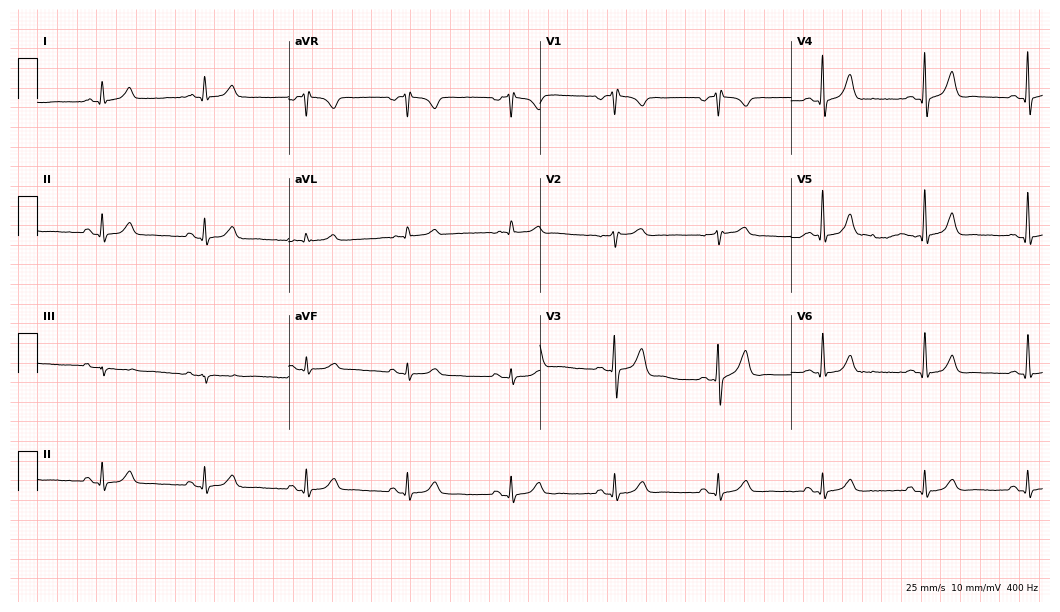
ECG — a 60-year-old male patient. Screened for six findings — first-degree AV block, right bundle branch block (RBBB), left bundle branch block (LBBB), sinus bradycardia, atrial fibrillation (AF), sinus tachycardia — none is recorded.